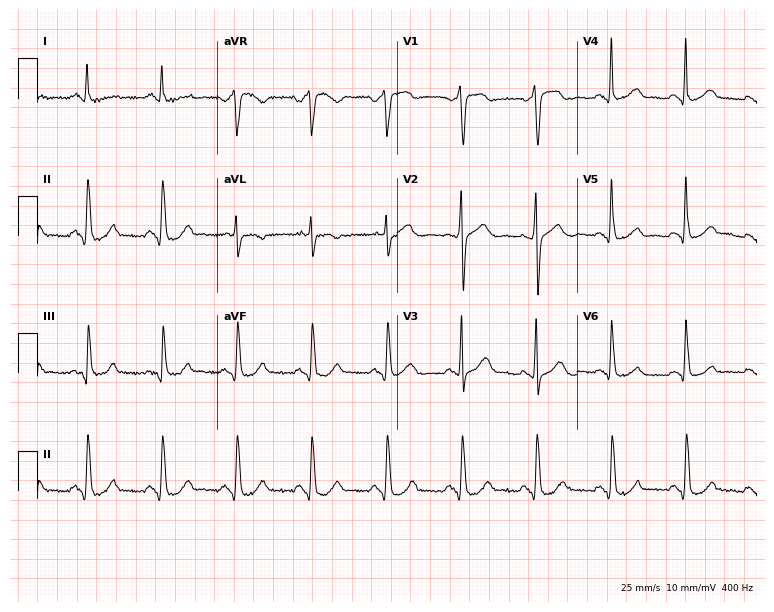
Resting 12-lead electrocardiogram. Patient: a male, 56 years old. None of these six findings is recorded: first-degree AV block, right bundle branch block, left bundle branch block, sinus bradycardia, atrial fibrillation, sinus tachycardia. Other findings, if any, are not listed.